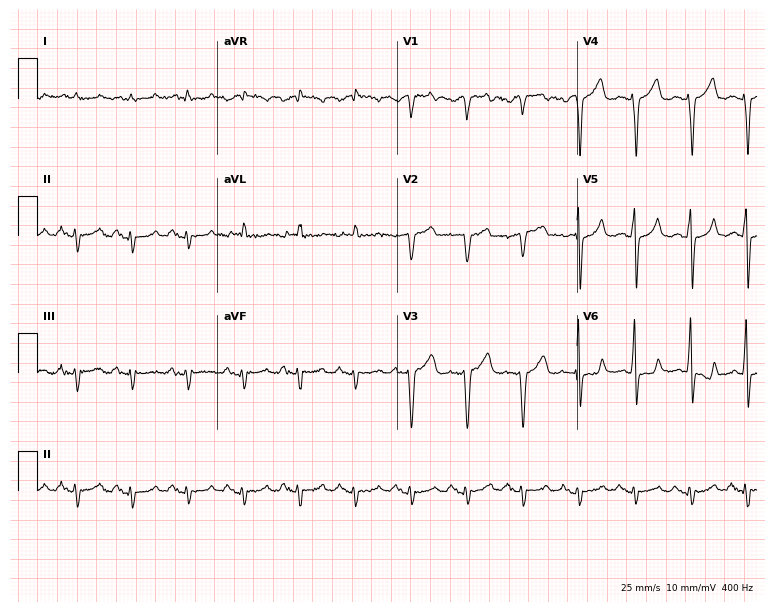
12-lead ECG from a male patient, 68 years old. No first-degree AV block, right bundle branch block, left bundle branch block, sinus bradycardia, atrial fibrillation or sinus tachycardia recorded for this tracing. Other findings, if any, are not listed.